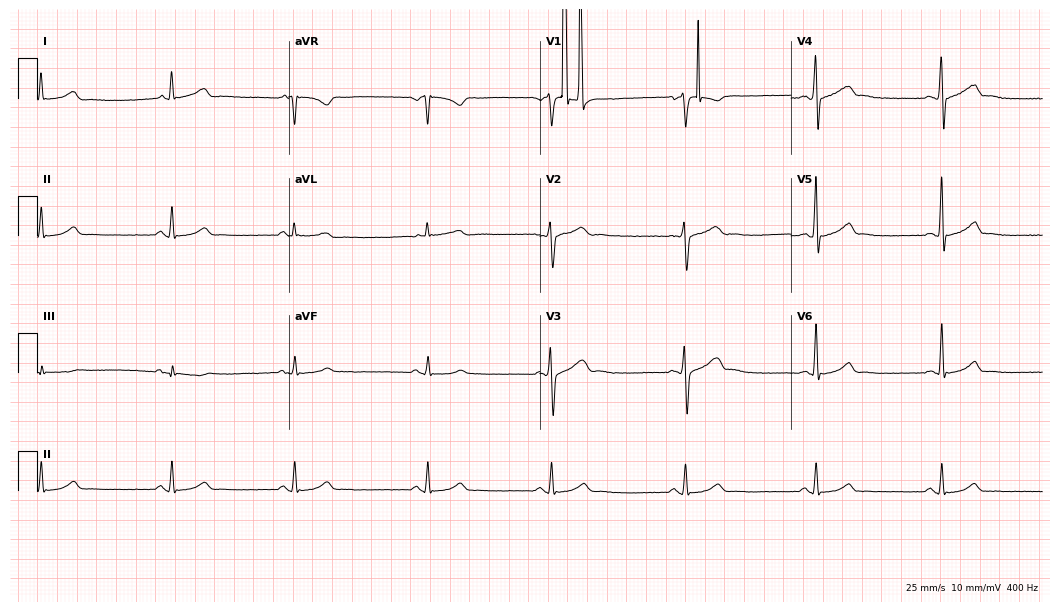
12-lead ECG from a 28-year-old man. Findings include sinus bradycardia (a sinus rate of 50 beats per minute or less).